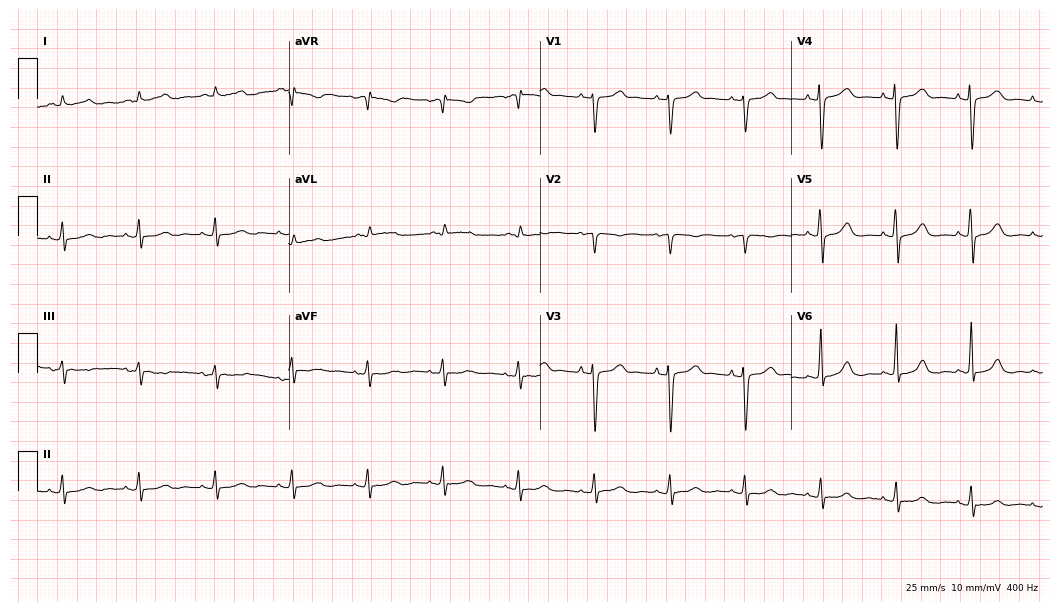
12-lead ECG from a female patient, 61 years old. Screened for six findings — first-degree AV block, right bundle branch block, left bundle branch block, sinus bradycardia, atrial fibrillation, sinus tachycardia — none is recorded.